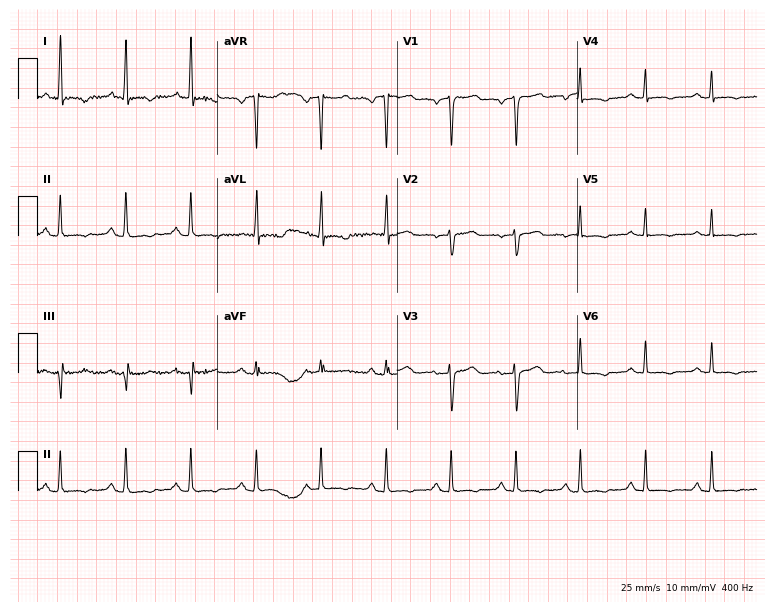
Resting 12-lead electrocardiogram (7.3-second recording at 400 Hz). Patient: a female, 55 years old. Read as a normal ECG.